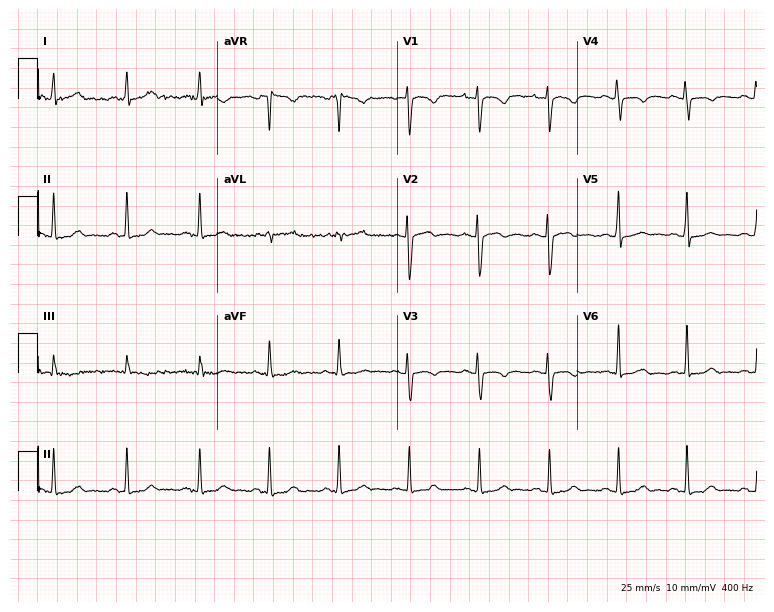
ECG (7.3-second recording at 400 Hz) — a 31-year-old female patient. Screened for six findings — first-degree AV block, right bundle branch block, left bundle branch block, sinus bradycardia, atrial fibrillation, sinus tachycardia — none is recorded.